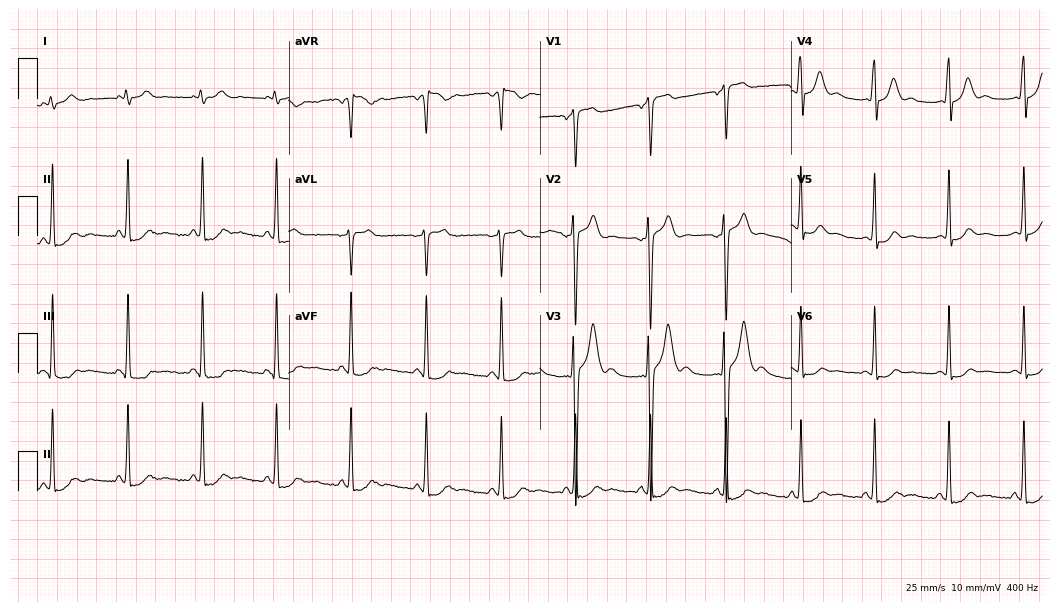
ECG — an 18-year-old man. Labelled as a normal ECG.